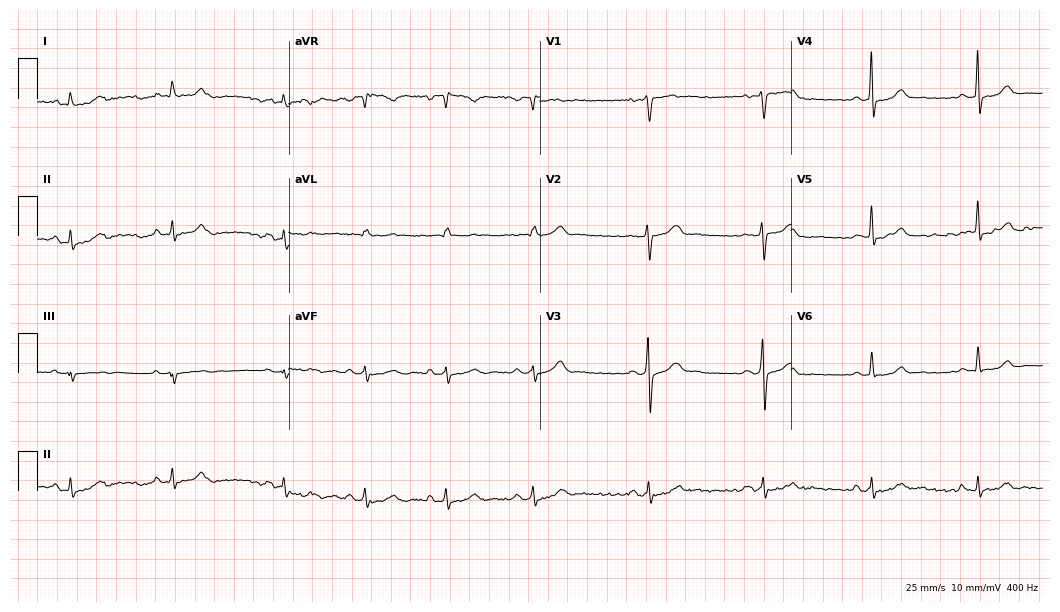
Standard 12-lead ECG recorded from a 34-year-old female. Read as a normal ECG.